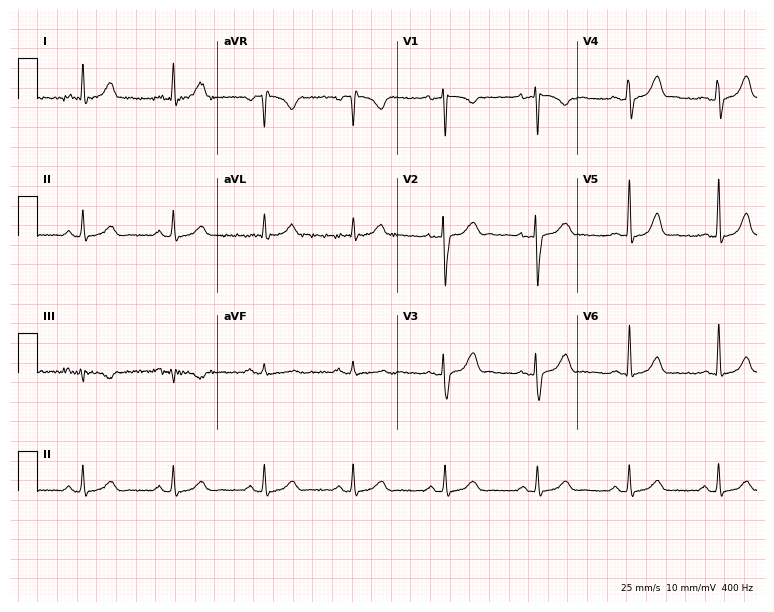
12-lead ECG from a woman, 53 years old. No first-degree AV block, right bundle branch block (RBBB), left bundle branch block (LBBB), sinus bradycardia, atrial fibrillation (AF) or sinus tachycardia recorded for this tracing.